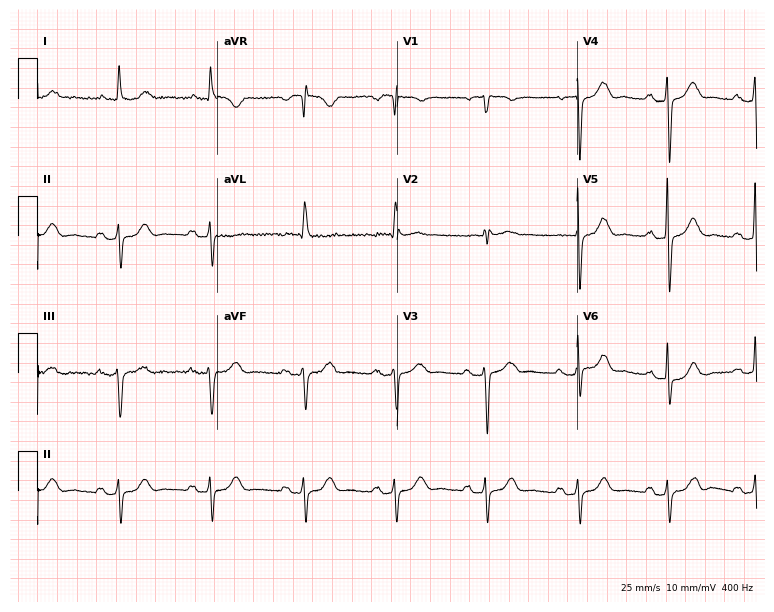
Resting 12-lead electrocardiogram. Patient: a 77-year-old woman. None of these six findings is recorded: first-degree AV block, right bundle branch block (RBBB), left bundle branch block (LBBB), sinus bradycardia, atrial fibrillation (AF), sinus tachycardia. Findings outside these six are not listed.